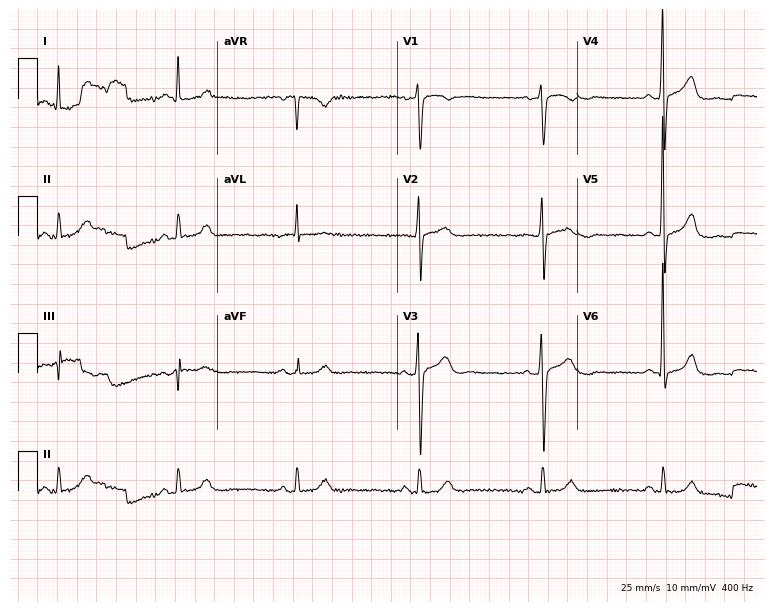
ECG (7.3-second recording at 400 Hz) — a 66-year-old male. Findings include sinus bradycardia (a sinus rate of 50 beats per minute or less).